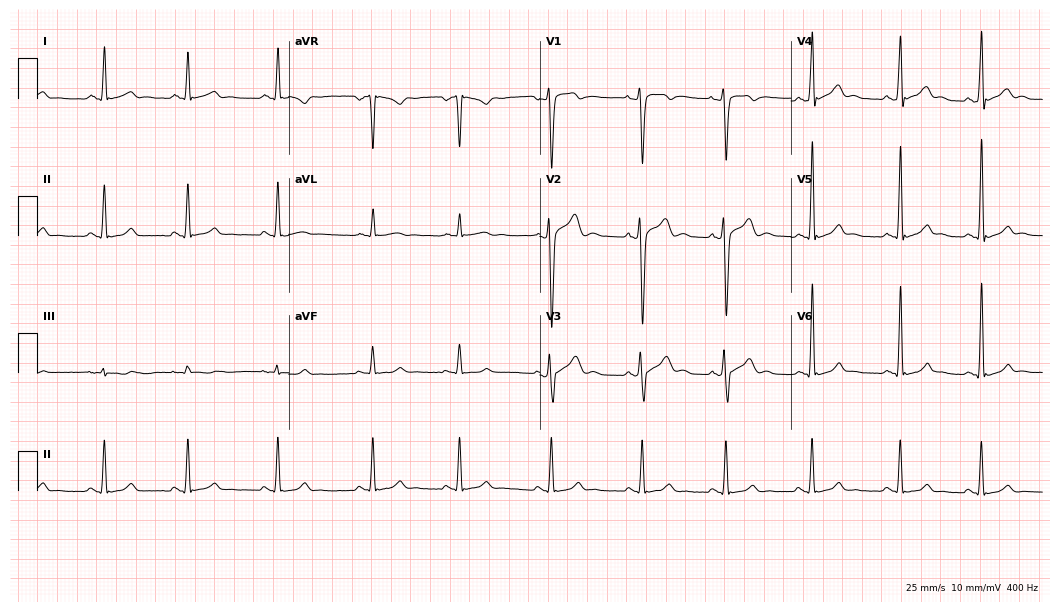
Standard 12-lead ECG recorded from a 30-year-old man (10.2-second recording at 400 Hz). Read as a normal ECG.